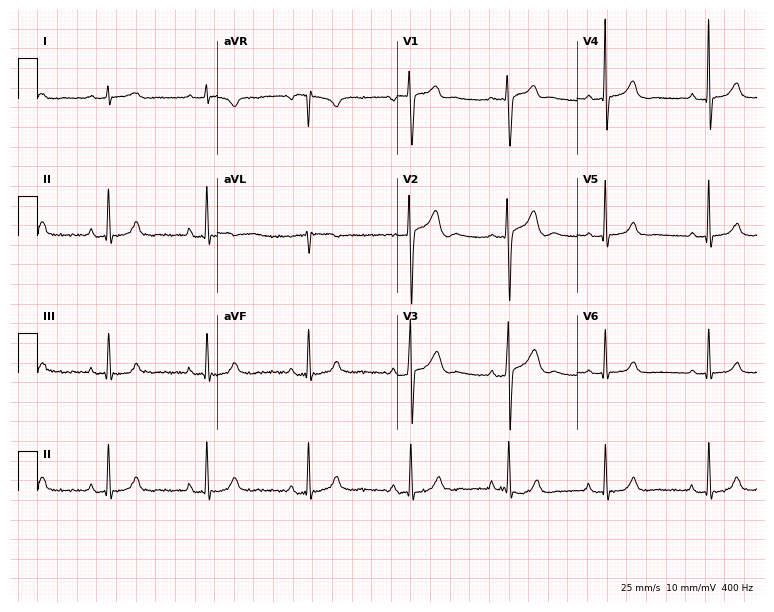
12-lead ECG from a male, 29 years old (7.3-second recording at 400 Hz). No first-degree AV block, right bundle branch block, left bundle branch block, sinus bradycardia, atrial fibrillation or sinus tachycardia recorded for this tracing. Findings outside these six are not listed.